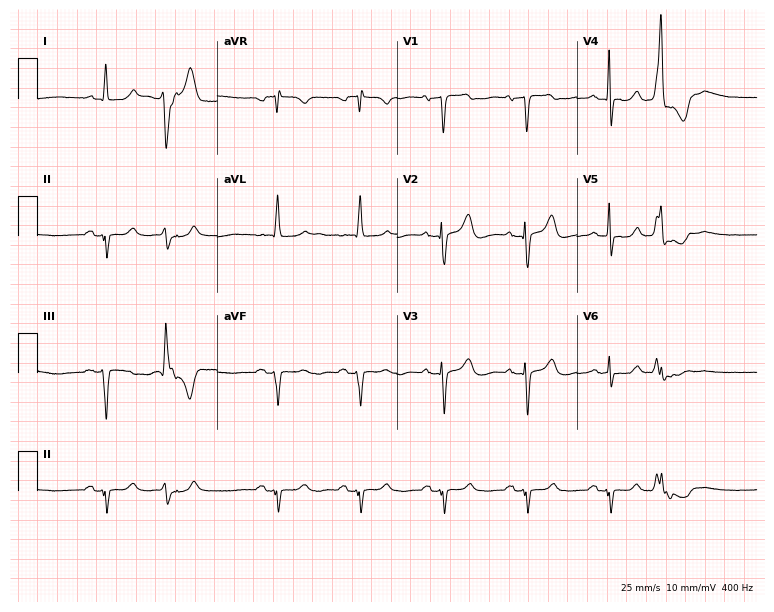
12-lead ECG from a man, 77 years old (7.3-second recording at 400 Hz). No first-degree AV block, right bundle branch block (RBBB), left bundle branch block (LBBB), sinus bradycardia, atrial fibrillation (AF) or sinus tachycardia recorded for this tracing.